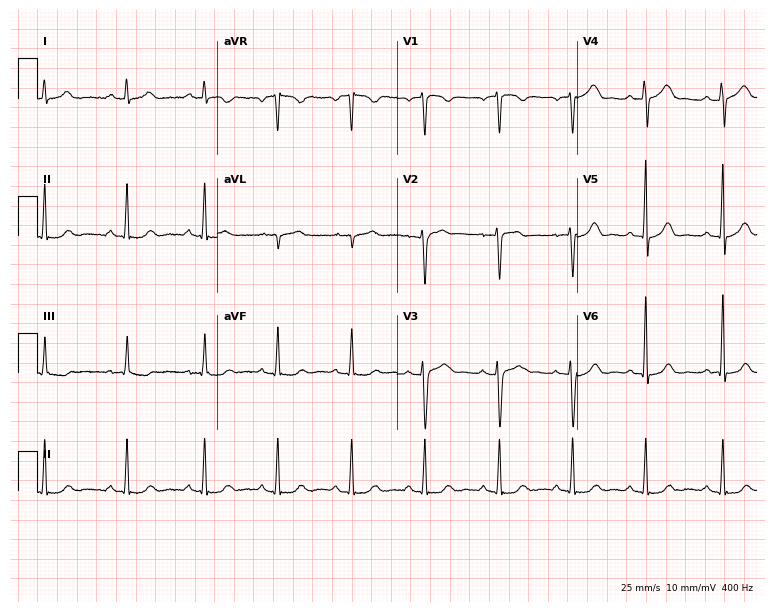
ECG (7.3-second recording at 400 Hz) — a 35-year-old woman. Screened for six findings — first-degree AV block, right bundle branch block (RBBB), left bundle branch block (LBBB), sinus bradycardia, atrial fibrillation (AF), sinus tachycardia — none is recorded.